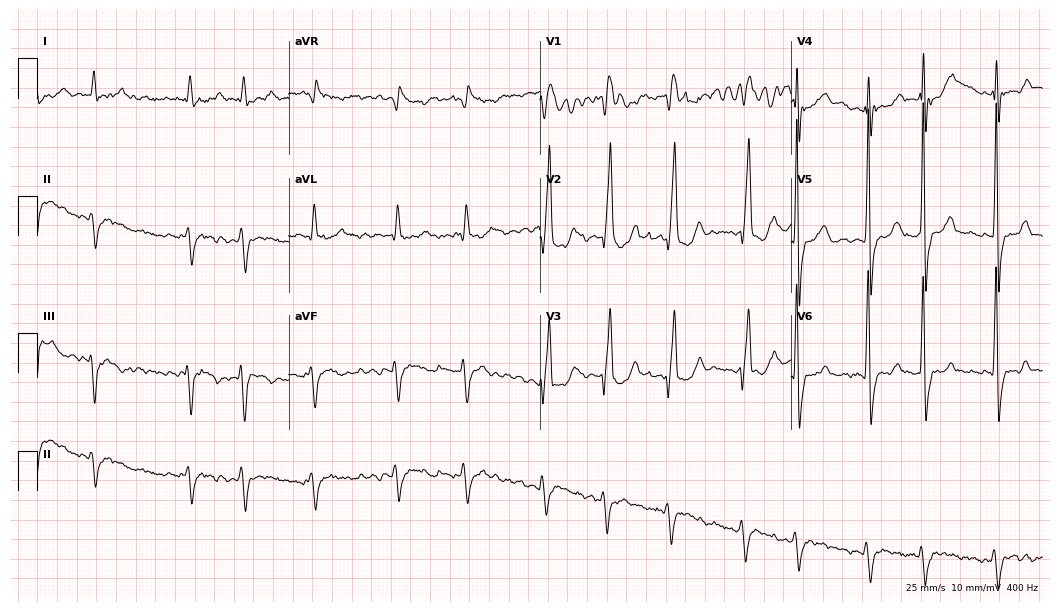
ECG (10.2-second recording at 400 Hz) — a female, 76 years old. Findings include atrial fibrillation (AF).